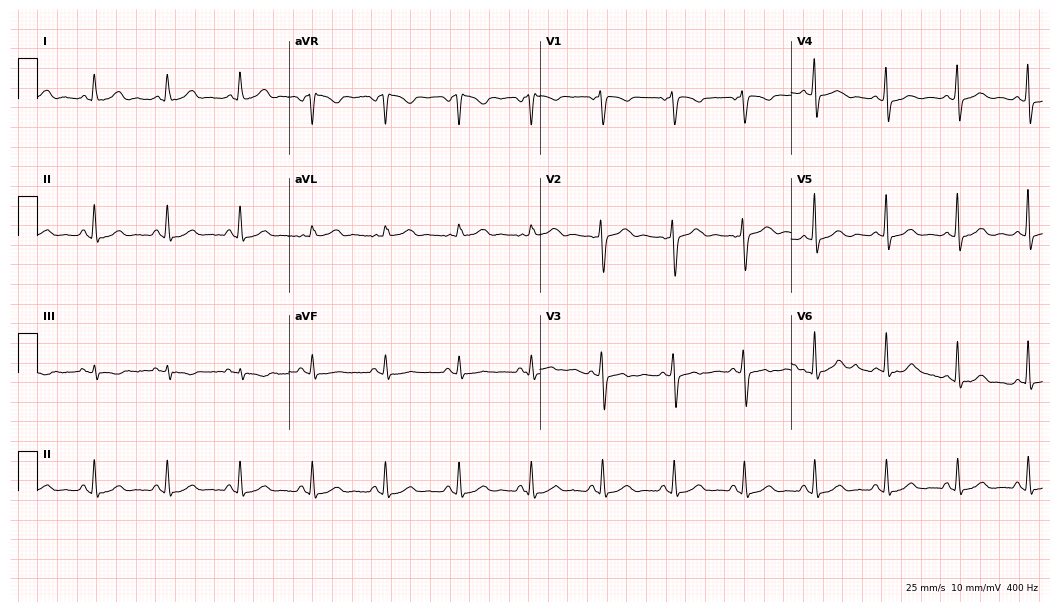
12-lead ECG from a 36-year-old female patient. Labelled as a normal ECG.